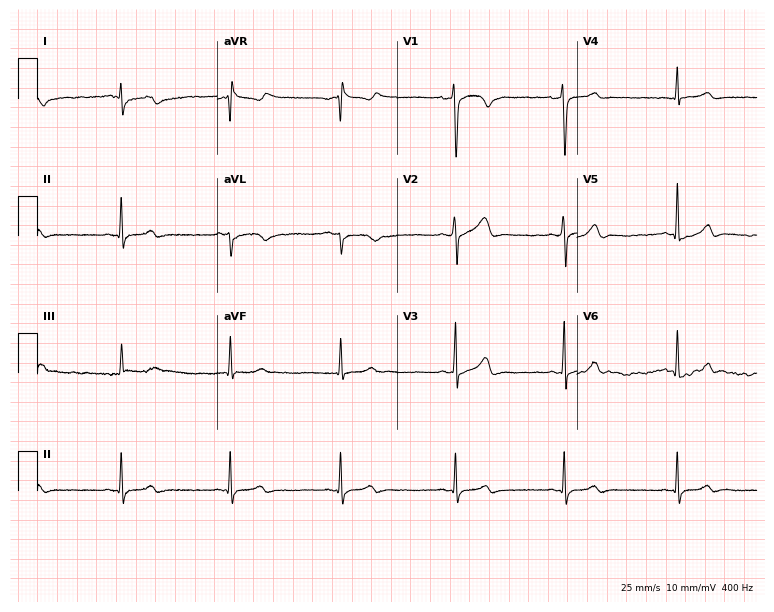
Resting 12-lead electrocardiogram. Patient: a 39-year-old female. None of these six findings is recorded: first-degree AV block, right bundle branch block (RBBB), left bundle branch block (LBBB), sinus bradycardia, atrial fibrillation (AF), sinus tachycardia. Findings outside these six are not listed.